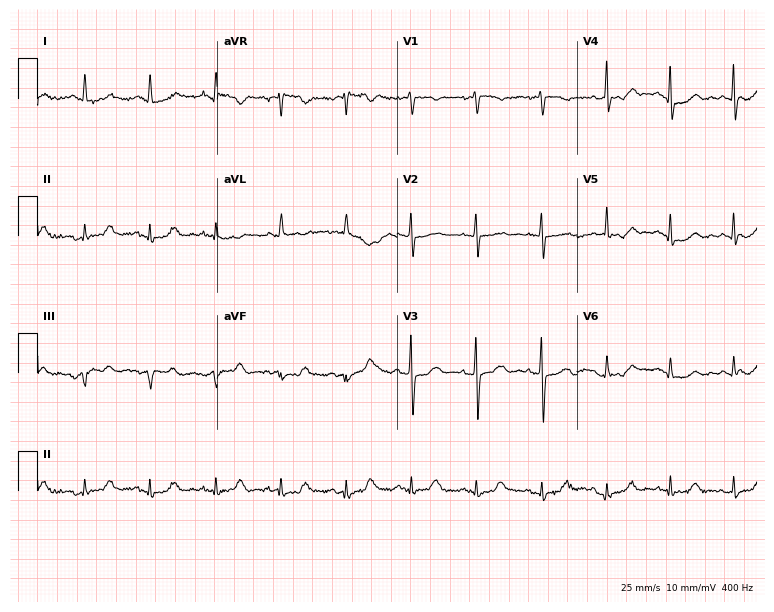
Resting 12-lead electrocardiogram. Patient: a 66-year-old woman. None of these six findings is recorded: first-degree AV block, right bundle branch block, left bundle branch block, sinus bradycardia, atrial fibrillation, sinus tachycardia. Other findings, if any, are not listed.